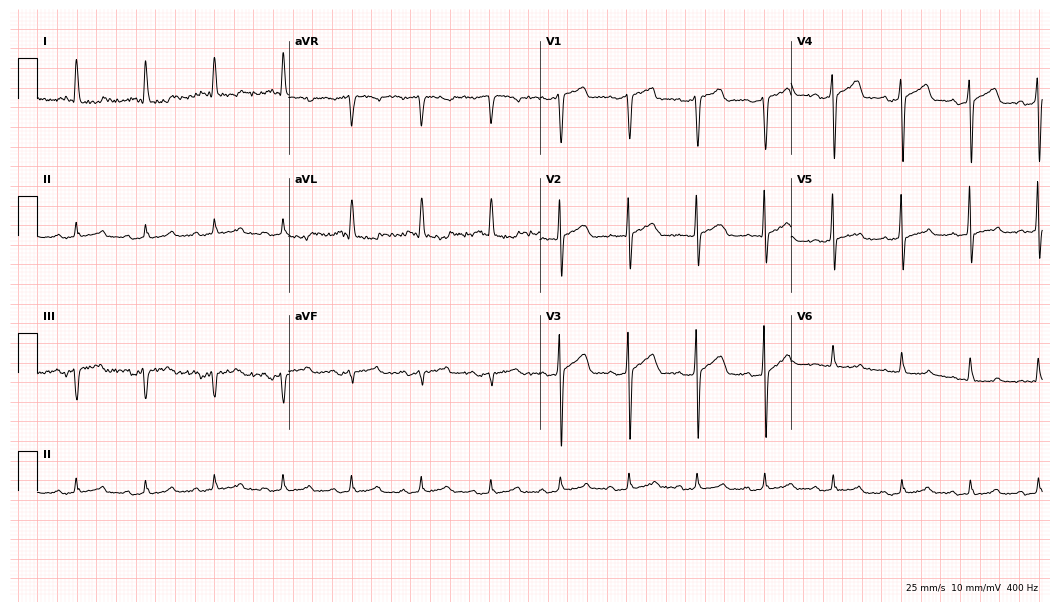
ECG — a 69-year-old male. Screened for six findings — first-degree AV block, right bundle branch block, left bundle branch block, sinus bradycardia, atrial fibrillation, sinus tachycardia — none is recorded.